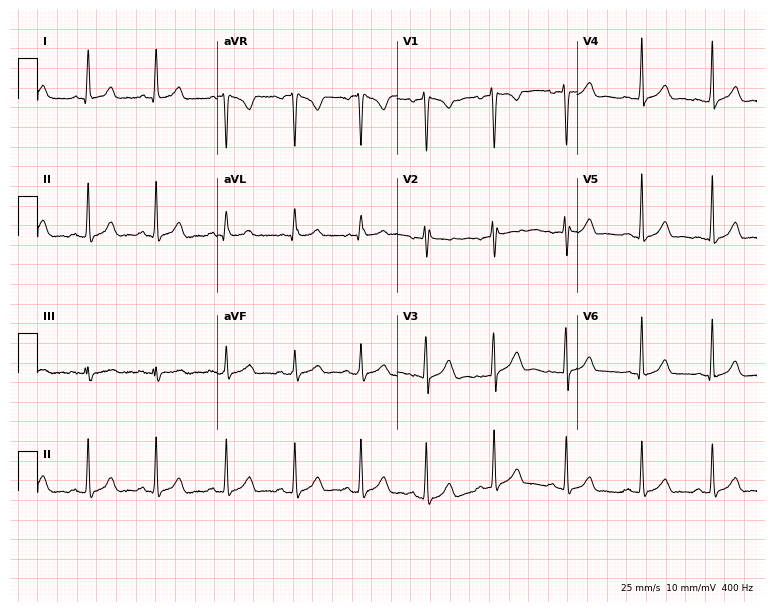
12-lead ECG (7.3-second recording at 400 Hz) from a 22-year-old female. Labelled as a normal ECG.